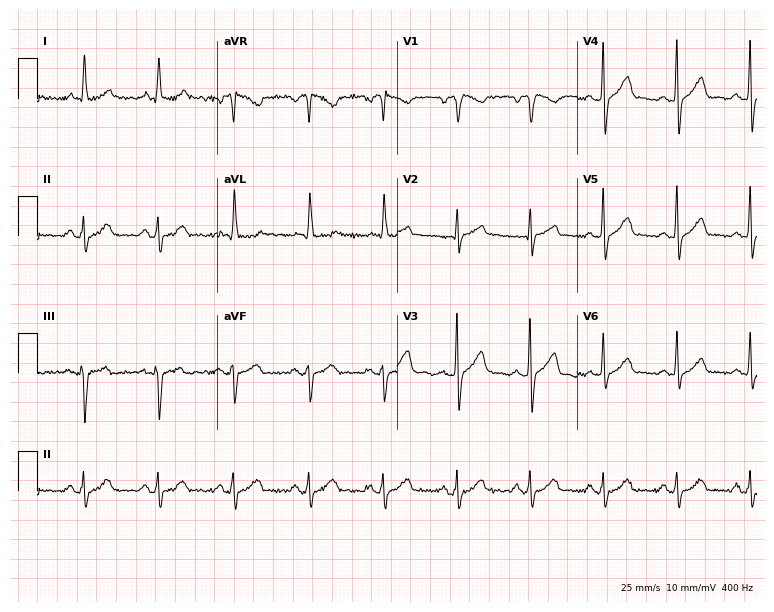
Electrocardiogram (7.3-second recording at 400 Hz), a male, 45 years old. Overall reading on record: normal ECG.